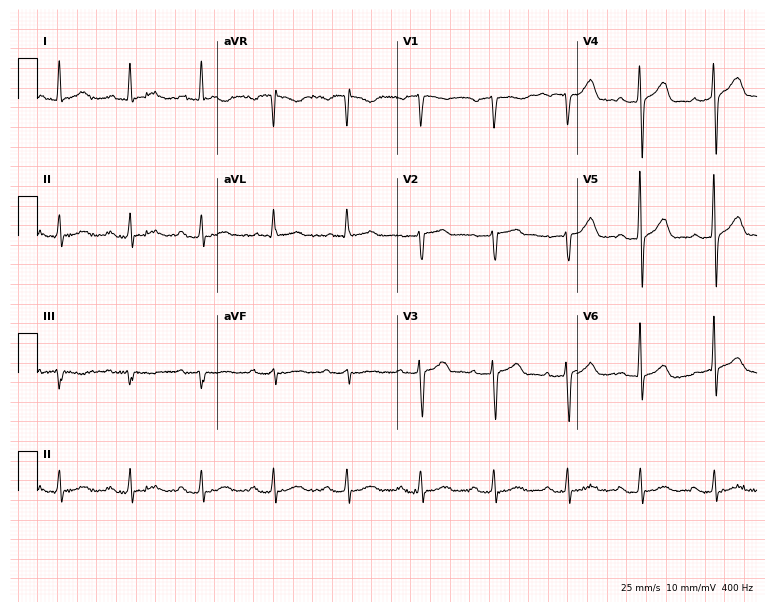
Resting 12-lead electrocardiogram (7.3-second recording at 400 Hz). Patient: a 79-year-old man. None of these six findings is recorded: first-degree AV block, right bundle branch block, left bundle branch block, sinus bradycardia, atrial fibrillation, sinus tachycardia. Other findings, if any, are not listed.